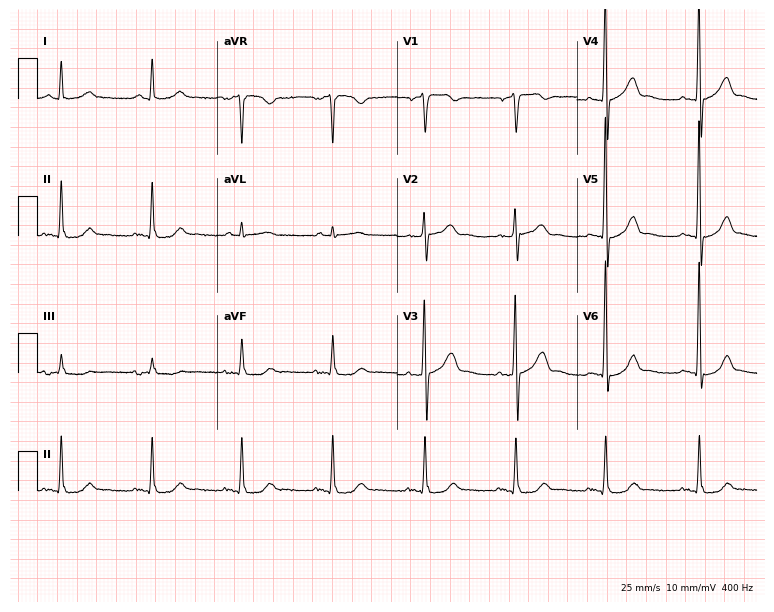
12-lead ECG from a man, 54 years old (7.3-second recording at 400 Hz). No first-degree AV block, right bundle branch block, left bundle branch block, sinus bradycardia, atrial fibrillation or sinus tachycardia recorded for this tracing. Findings outside these six are not listed.